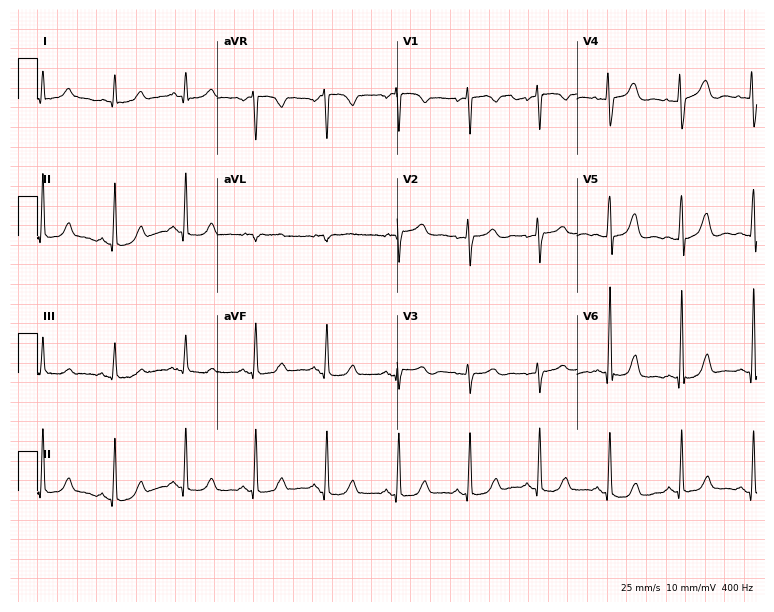
Resting 12-lead electrocardiogram (7.3-second recording at 400 Hz). Patient: a 56-year-old female. Read as a normal ECG.